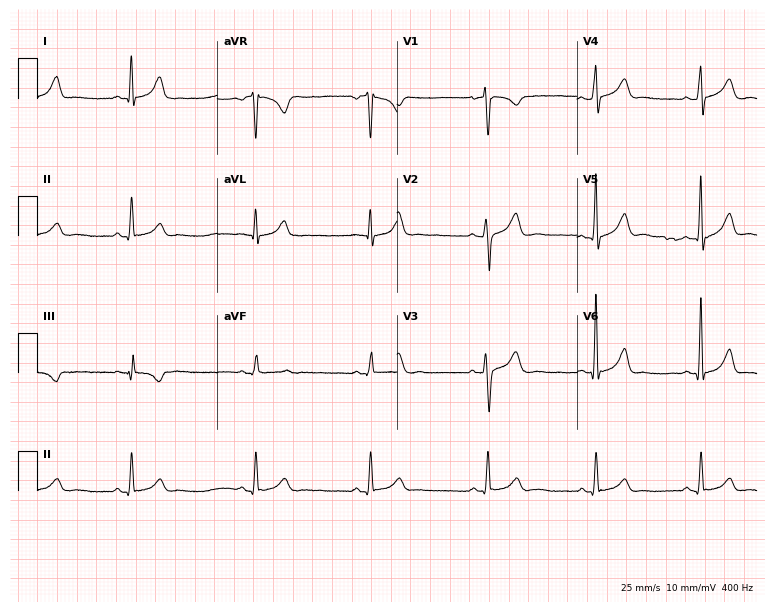
Standard 12-lead ECG recorded from a male, 37 years old (7.3-second recording at 400 Hz). None of these six findings is recorded: first-degree AV block, right bundle branch block, left bundle branch block, sinus bradycardia, atrial fibrillation, sinus tachycardia.